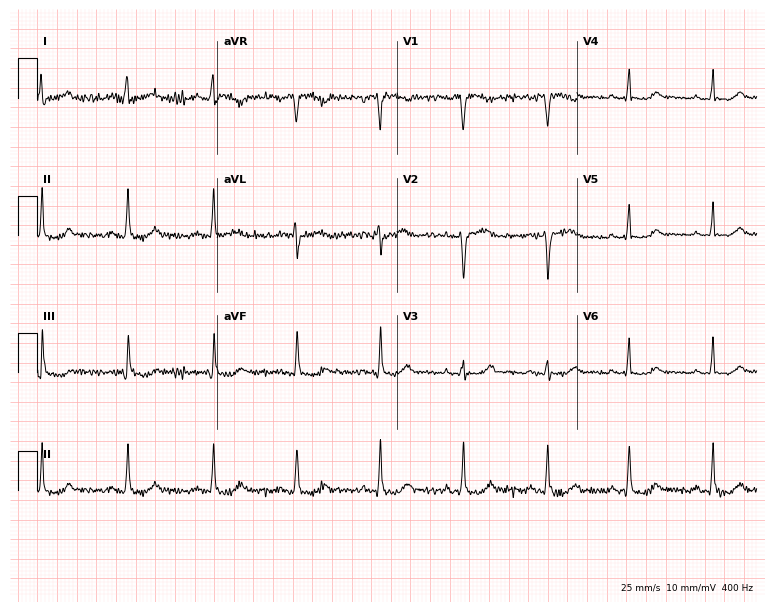
ECG — a 56-year-old female patient. Labelled as a normal ECG.